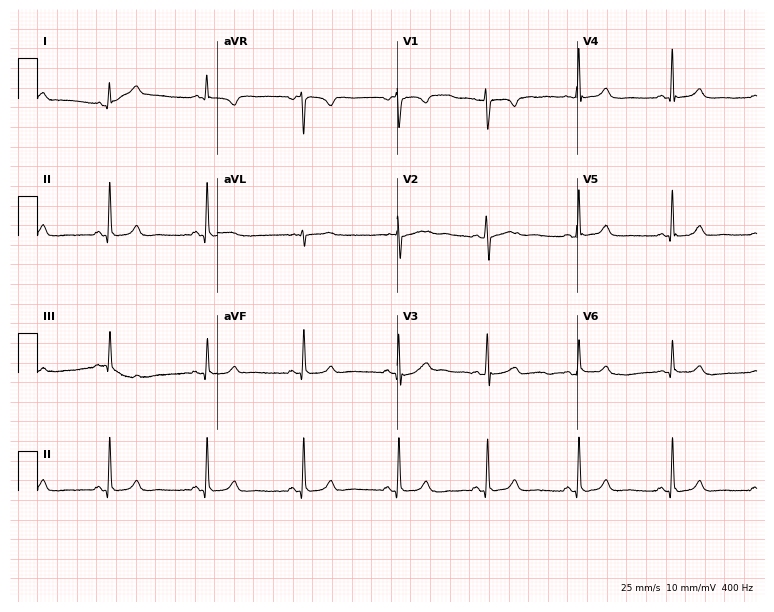
Resting 12-lead electrocardiogram (7.3-second recording at 400 Hz). Patient: a 29-year-old female. None of these six findings is recorded: first-degree AV block, right bundle branch block, left bundle branch block, sinus bradycardia, atrial fibrillation, sinus tachycardia.